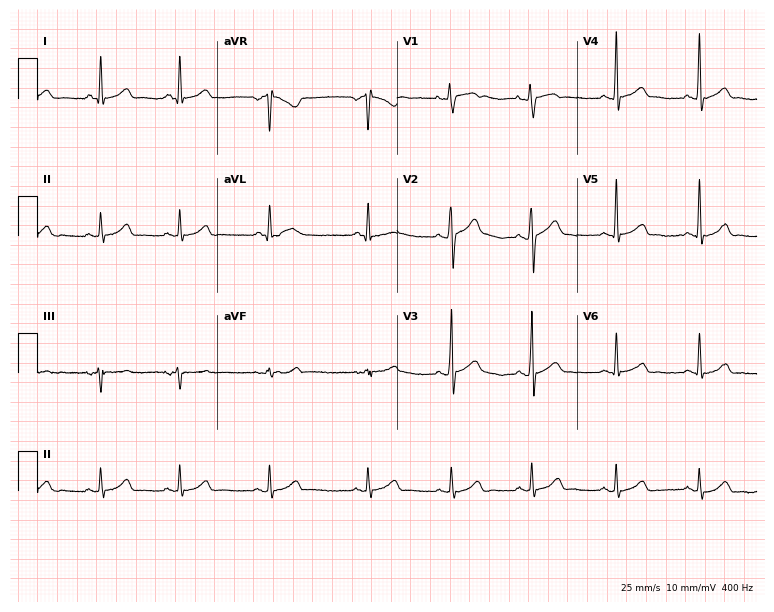
Standard 12-lead ECG recorded from a man, 24 years old. None of these six findings is recorded: first-degree AV block, right bundle branch block, left bundle branch block, sinus bradycardia, atrial fibrillation, sinus tachycardia.